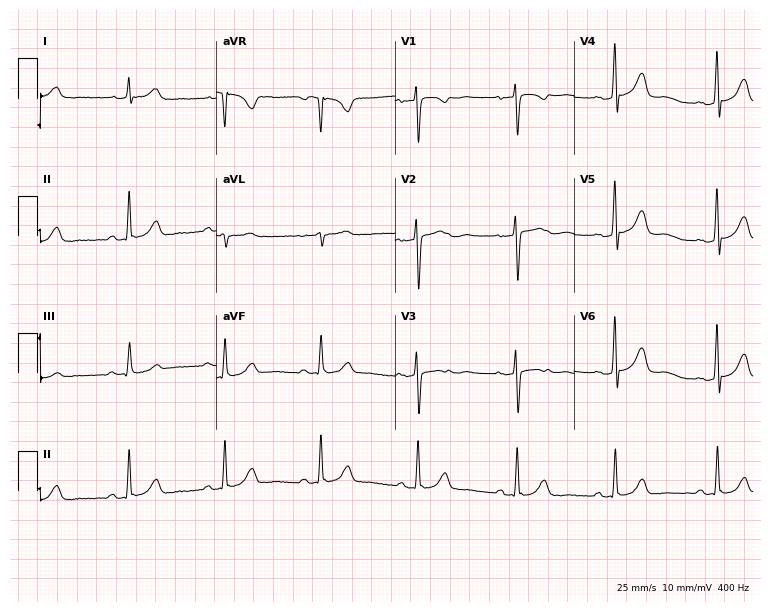
Electrocardiogram, a woman, 48 years old. Overall reading on record: normal ECG.